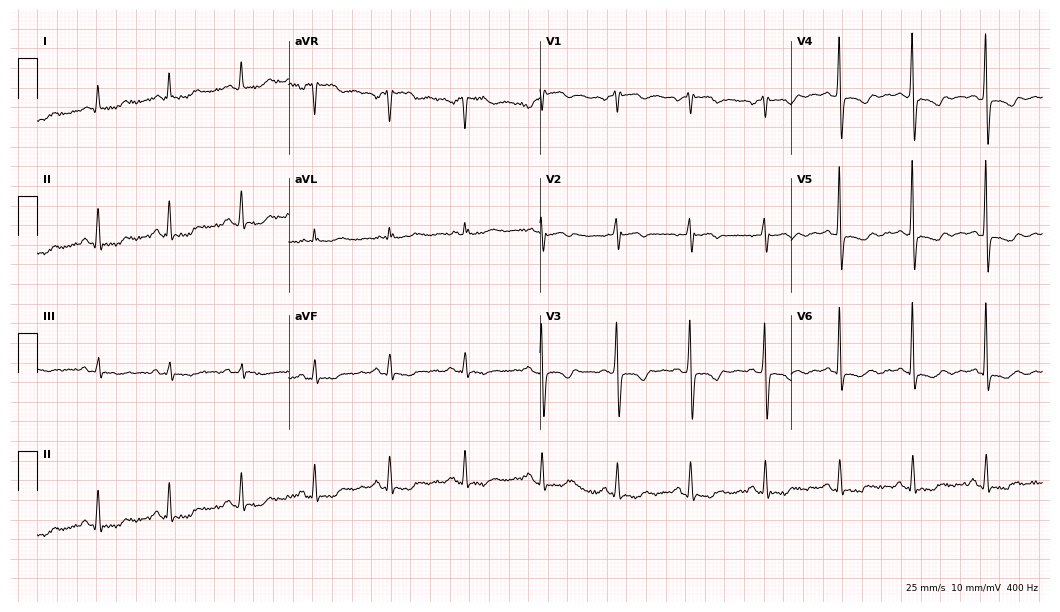
ECG (10.2-second recording at 400 Hz) — a 66-year-old female patient. Screened for six findings — first-degree AV block, right bundle branch block, left bundle branch block, sinus bradycardia, atrial fibrillation, sinus tachycardia — none is recorded.